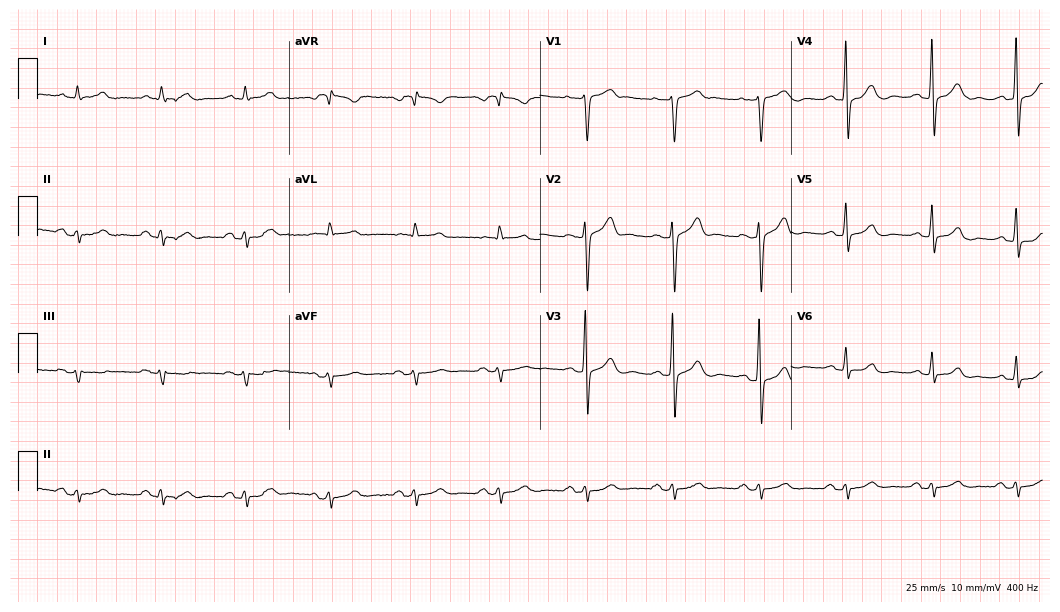
Electrocardiogram (10.2-second recording at 400 Hz), a 66-year-old male patient. Of the six screened findings (first-degree AV block, right bundle branch block, left bundle branch block, sinus bradycardia, atrial fibrillation, sinus tachycardia), none is recorded. Findings outside these six are not listed.